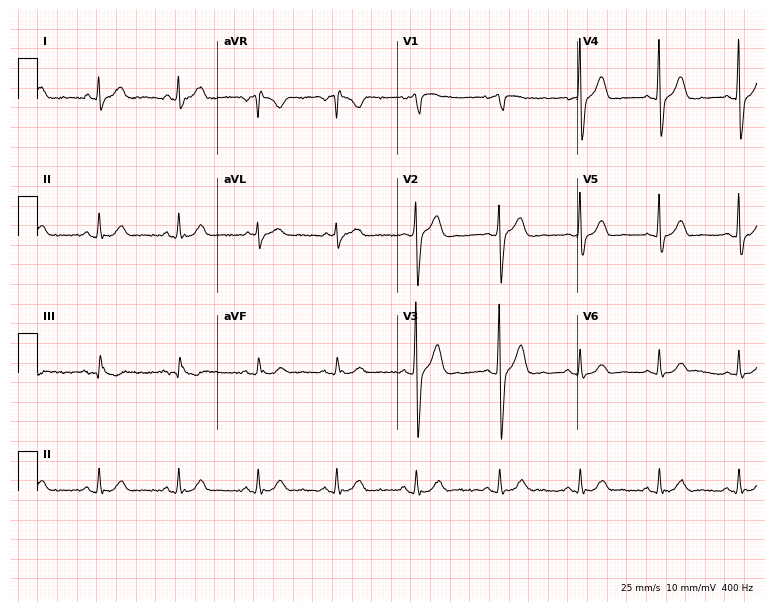
Resting 12-lead electrocardiogram (7.3-second recording at 400 Hz). Patient: a male, 45 years old. Read as a normal ECG.